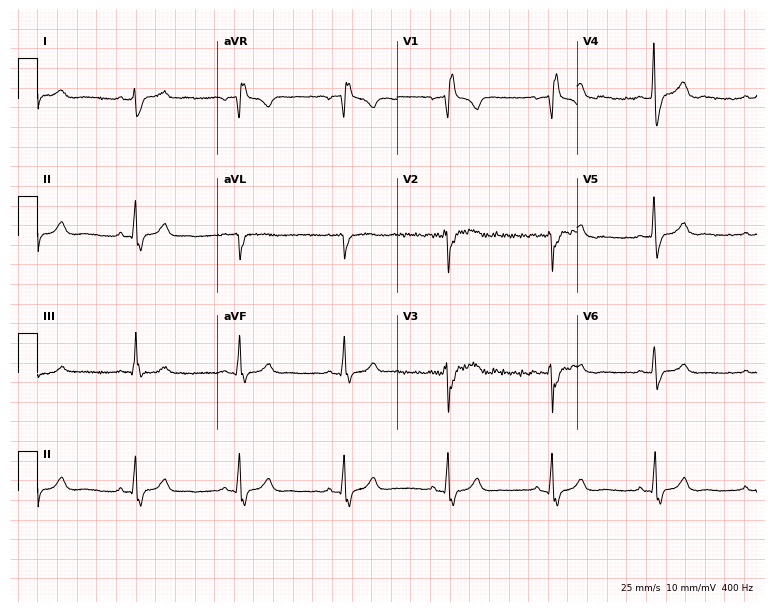
12-lead ECG from a 27-year-old male. Shows right bundle branch block.